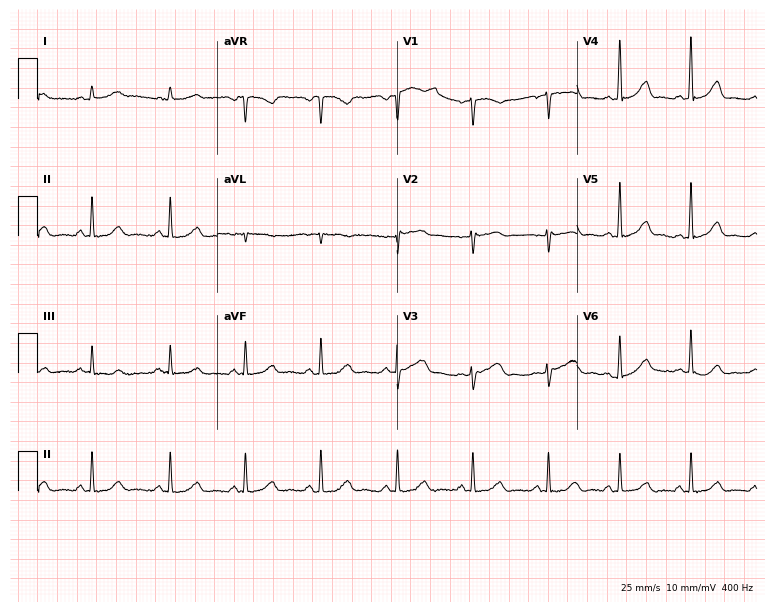
Resting 12-lead electrocardiogram (7.3-second recording at 400 Hz). Patient: a 42-year-old female. Read as a normal ECG.